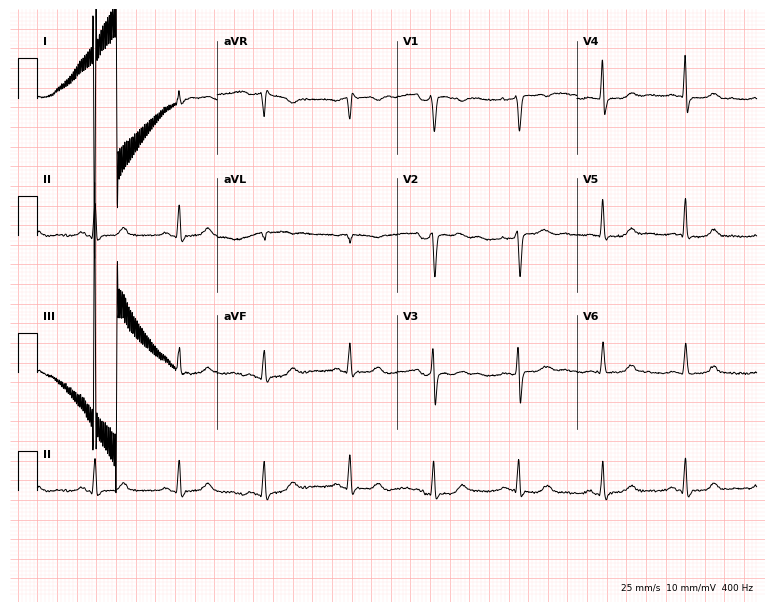
Electrocardiogram, a female patient, 62 years old. Of the six screened findings (first-degree AV block, right bundle branch block, left bundle branch block, sinus bradycardia, atrial fibrillation, sinus tachycardia), none is recorded.